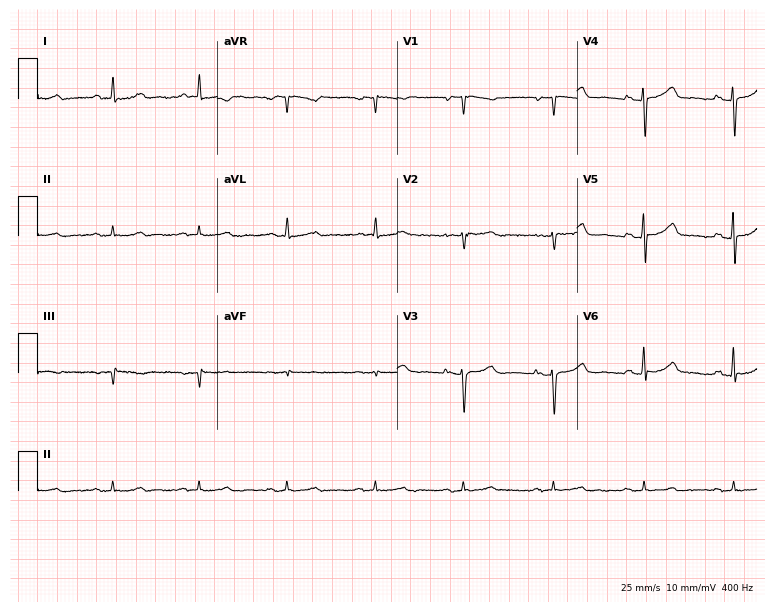
Electrocardiogram (7.3-second recording at 400 Hz), a 46-year-old female patient. Overall reading on record: normal ECG.